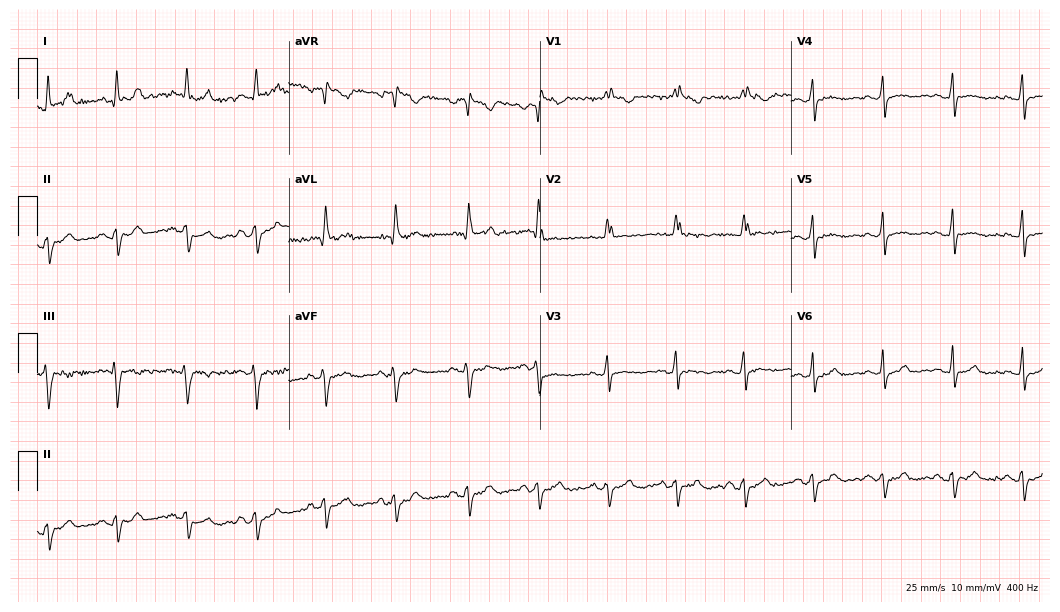
ECG (10.2-second recording at 400 Hz) — a 43-year-old woman. Screened for six findings — first-degree AV block, right bundle branch block (RBBB), left bundle branch block (LBBB), sinus bradycardia, atrial fibrillation (AF), sinus tachycardia — none is recorded.